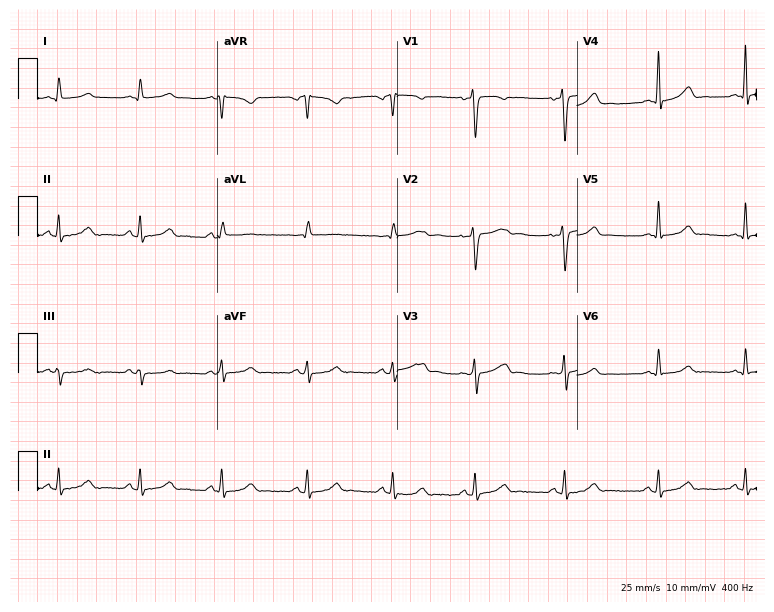
Standard 12-lead ECG recorded from a woman, 21 years old. None of these six findings is recorded: first-degree AV block, right bundle branch block, left bundle branch block, sinus bradycardia, atrial fibrillation, sinus tachycardia. Only these six findings were labelled.